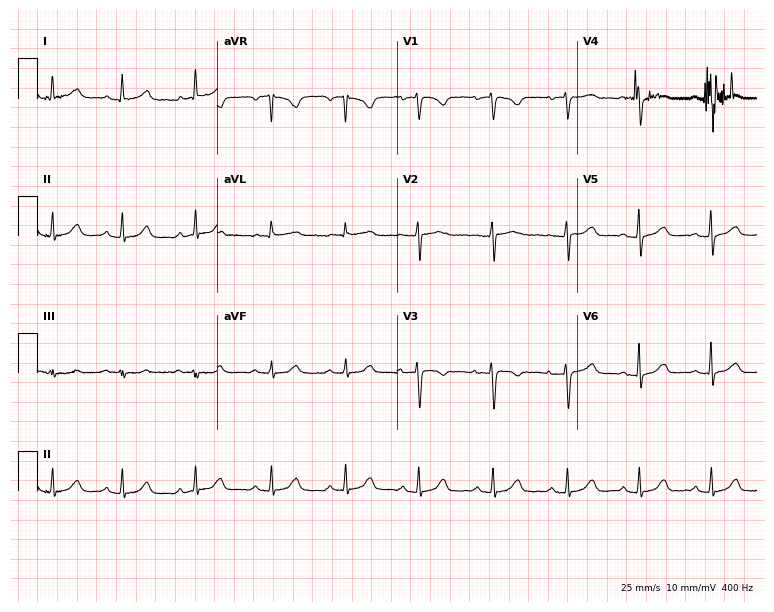
Resting 12-lead electrocardiogram. Patient: a female, 43 years old. Read as a normal ECG.